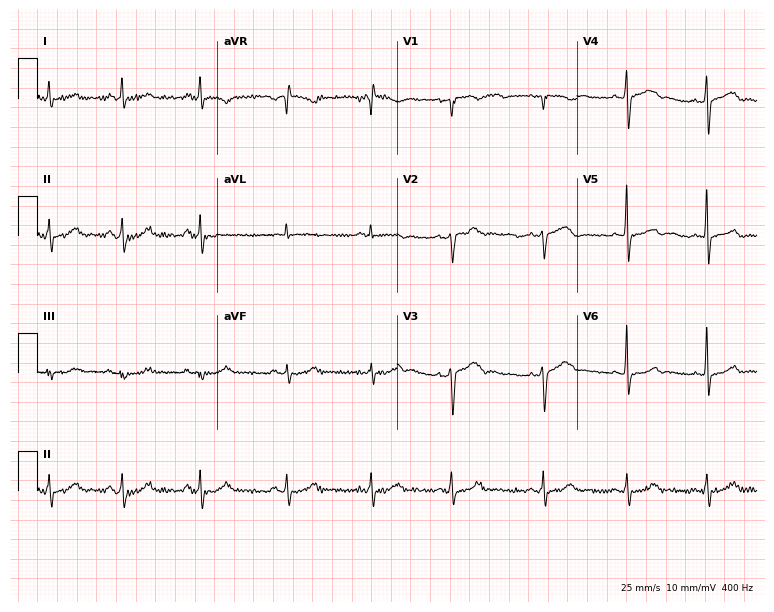
Standard 12-lead ECG recorded from a female patient, 51 years old. Read as a normal ECG.